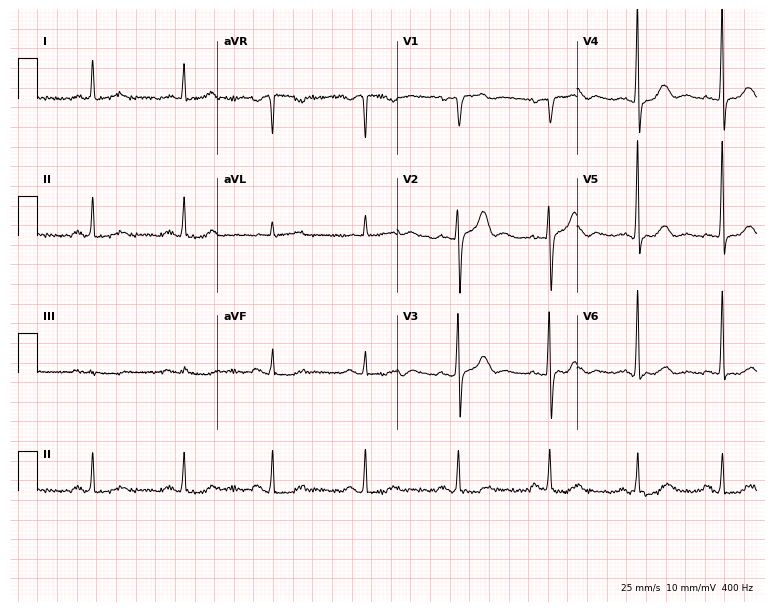
Electrocardiogram, a male, 63 years old. Overall reading on record: normal ECG.